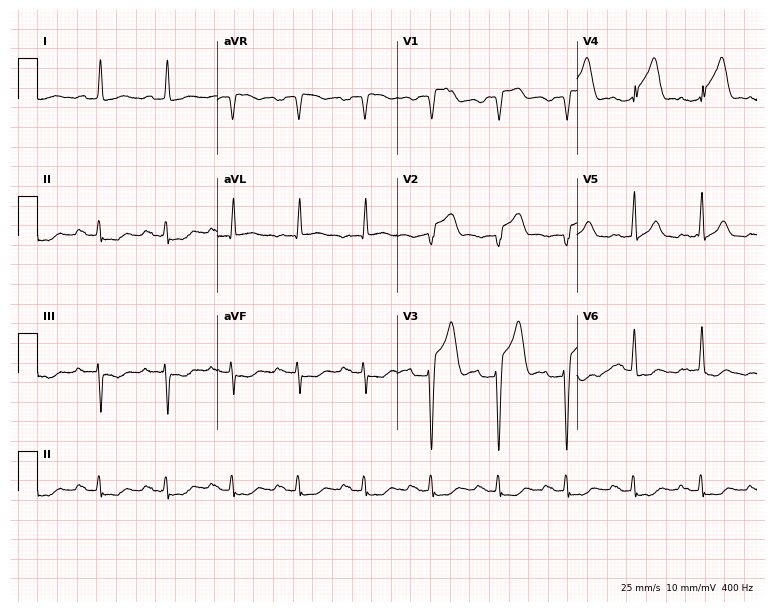
ECG — a female, 80 years old. Screened for six findings — first-degree AV block, right bundle branch block (RBBB), left bundle branch block (LBBB), sinus bradycardia, atrial fibrillation (AF), sinus tachycardia — none is recorded. Findings outside these six are not listed.